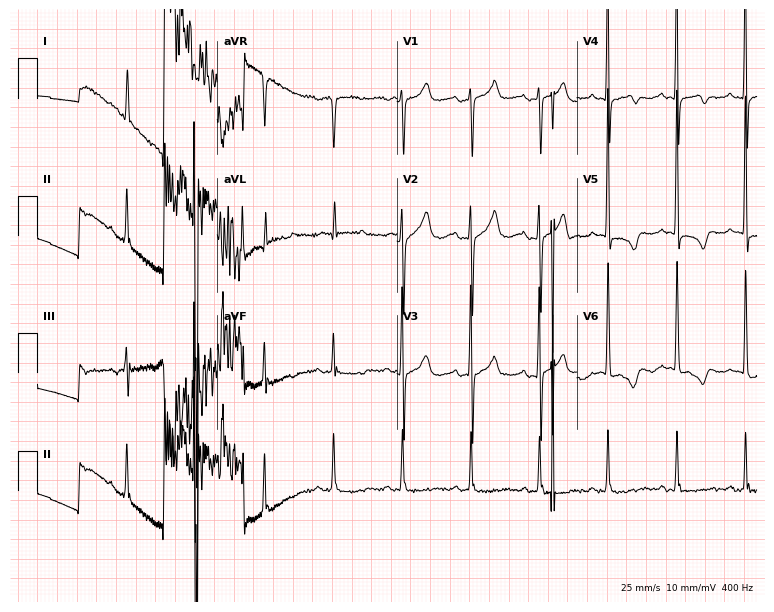
12-lead ECG (7.3-second recording at 400 Hz) from a female patient, 80 years old. Screened for six findings — first-degree AV block, right bundle branch block (RBBB), left bundle branch block (LBBB), sinus bradycardia, atrial fibrillation (AF), sinus tachycardia — none is recorded. Other findings, if any, are not listed.